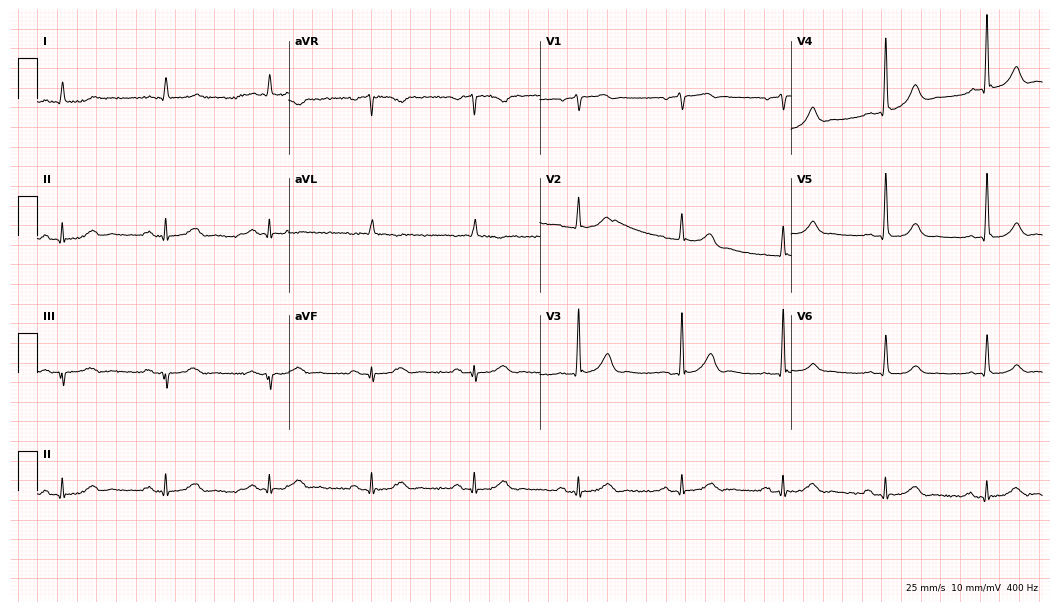
Electrocardiogram (10.2-second recording at 400 Hz), a male, 80 years old. Of the six screened findings (first-degree AV block, right bundle branch block (RBBB), left bundle branch block (LBBB), sinus bradycardia, atrial fibrillation (AF), sinus tachycardia), none is recorded.